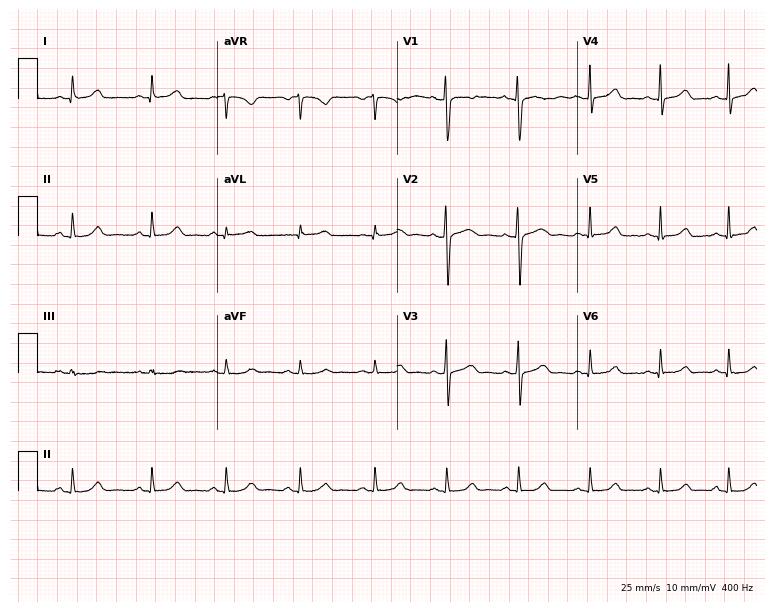
12-lead ECG from a female patient, 41 years old (7.3-second recording at 400 Hz). Recorded interpretation: within normal limits.